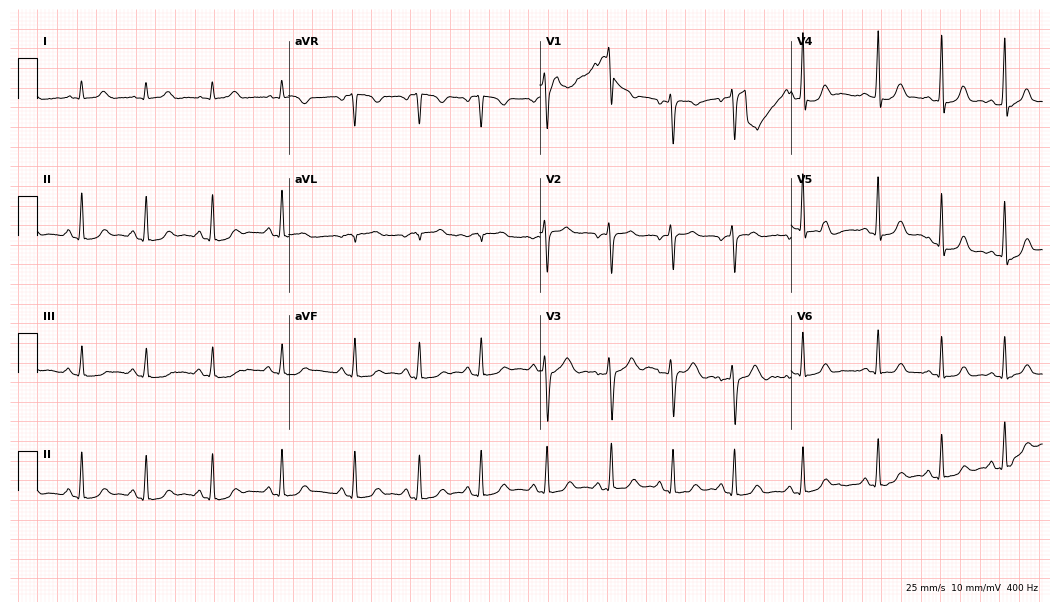
12-lead ECG from a woman, 30 years old. Labelled as a normal ECG.